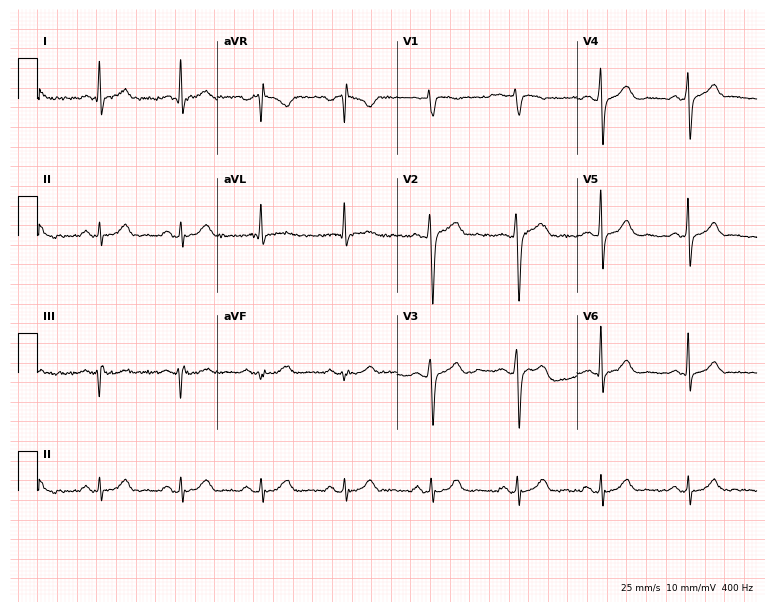
12-lead ECG from a male patient, 49 years old. Recorded interpretation: within normal limits.